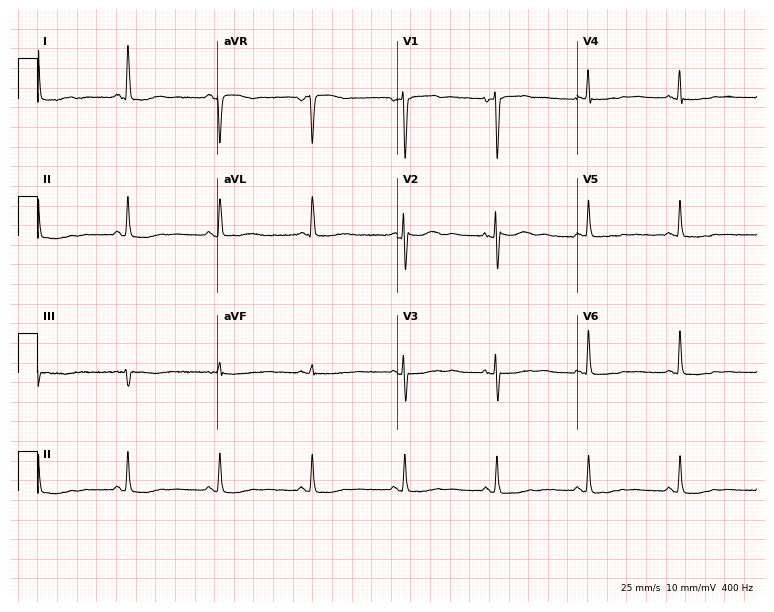
Electrocardiogram (7.3-second recording at 400 Hz), a 62-year-old female patient. Of the six screened findings (first-degree AV block, right bundle branch block (RBBB), left bundle branch block (LBBB), sinus bradycardia, atrial fibrillation (AF), sinus tachycardia), none is recorded. Findings outside these six are not listed.